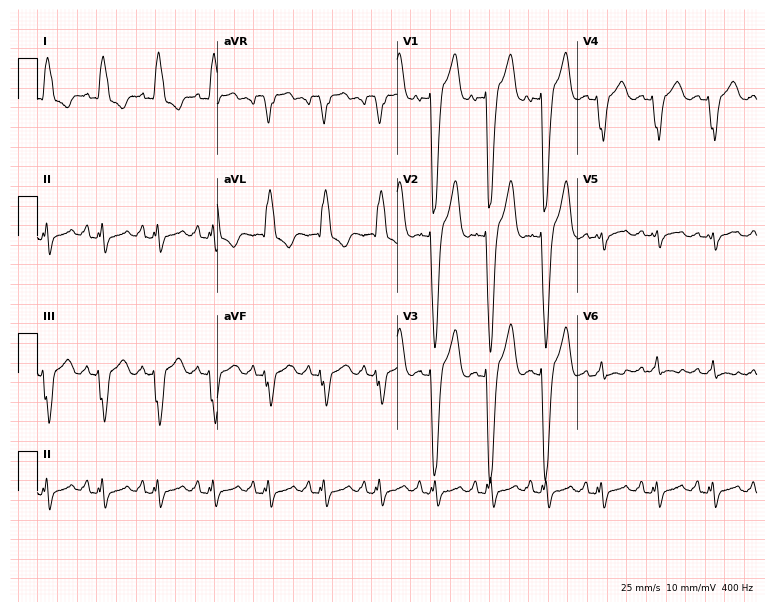
Standard 12-lead ECG recorded from a 61-year-old woman. The tracing shows left bundle branch block (LBBB).